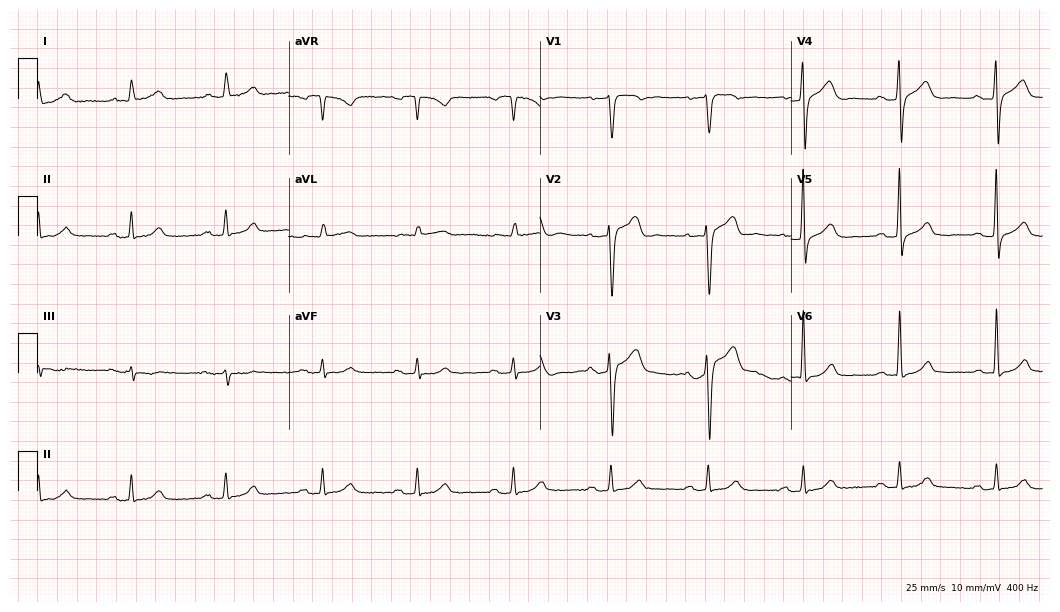
Electrocardiogram, a 71-year-old man. Overall reading on record: normal ECG.